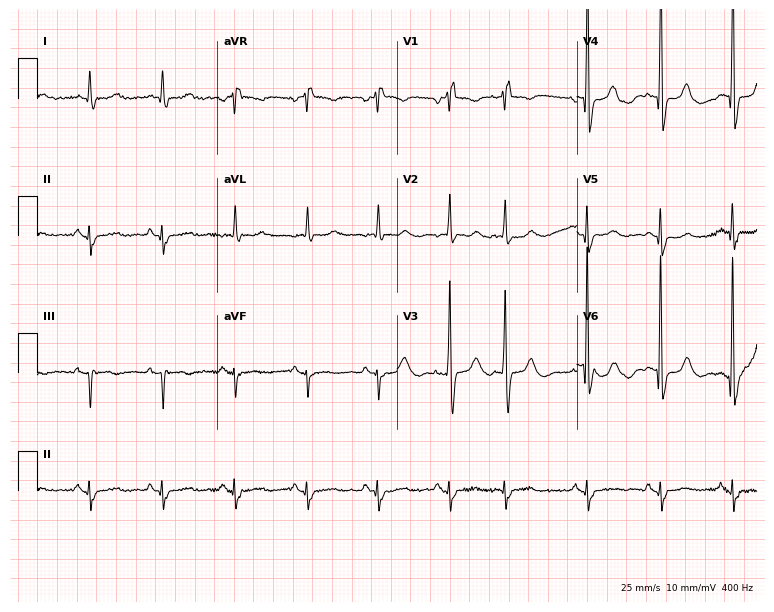
12-lead ECG from an 80-year-old woman (7.3-second recording at 400 Hz). Shows right bundle branch block.